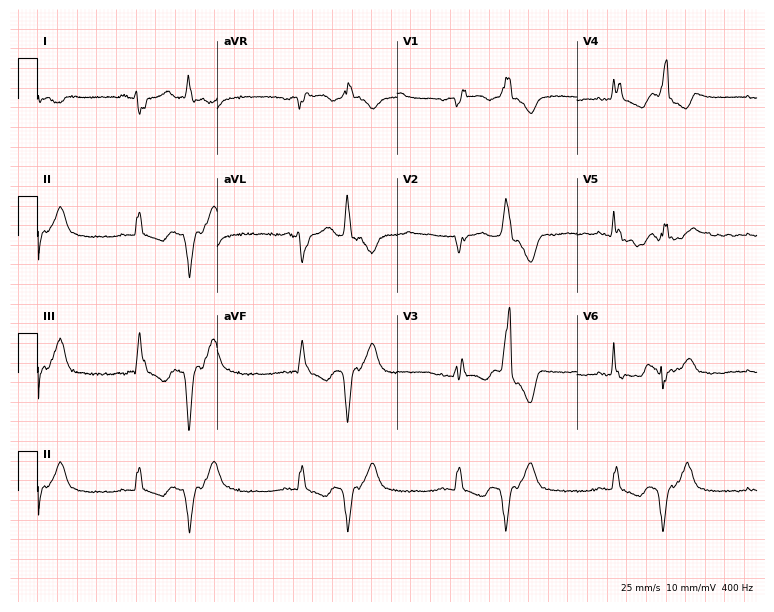
Electrocardiogram, a 77-year-old female patient. Interpretation includes right bundle branch block (RBBB).